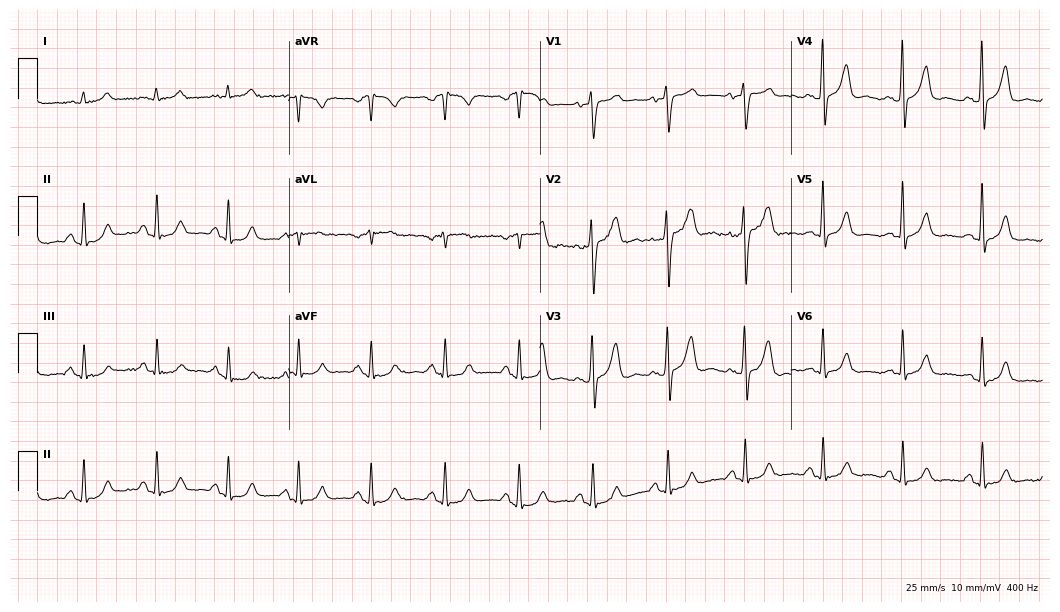
Electrocardiogram, a 72-year-old male patient. Overall reading on record: normal ECG.